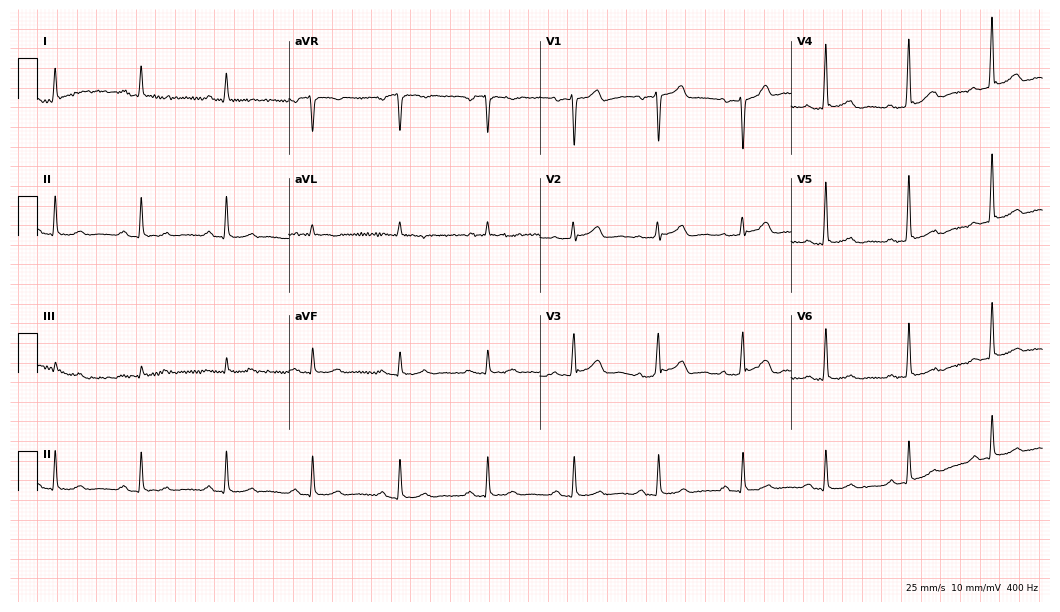
Resting 12-lead electrocardiogram (10.2-second recording at 400 Hz). Patient: a 60-year-old male. Read as a normal ECG.